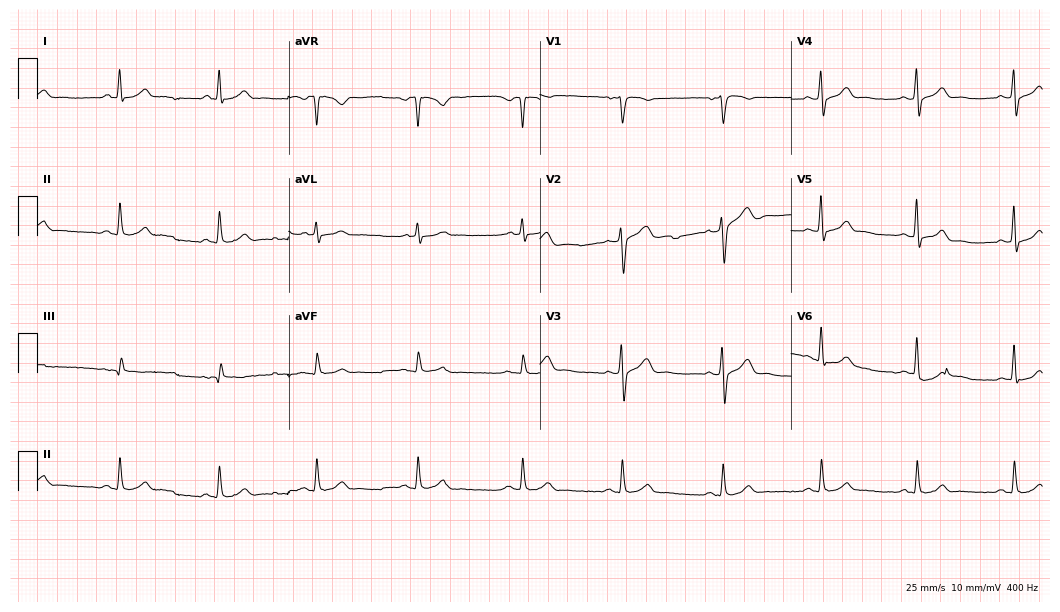
Resting 12-lead electrocardiogram. Patient: a male, 39 years old. None of these six findings is recorded: first-degree AV block, right bundle branch block, left bundle branch block, sinus bradycardia, atrial fibrillation, sinus tachycardia. Other findings, if any, are not listed.